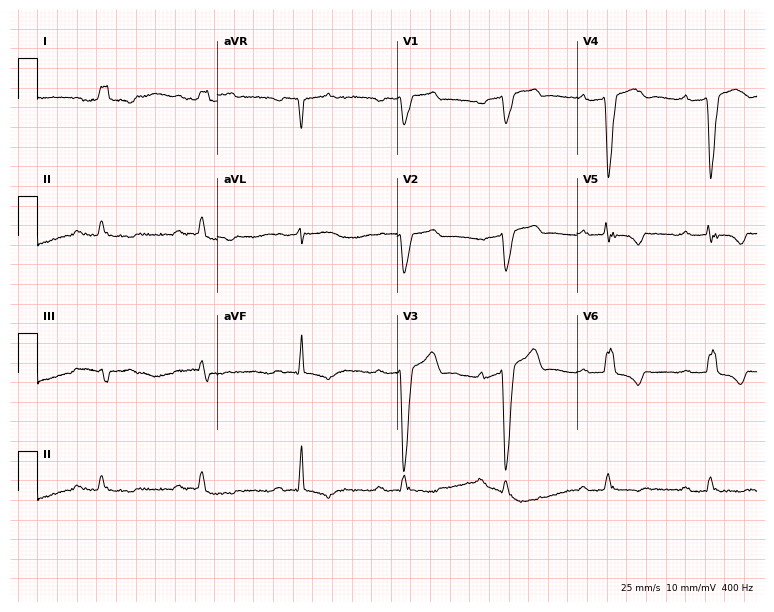
Electrocardiogram, a man, 82 years old. Interpretation includes first-degree AV block.